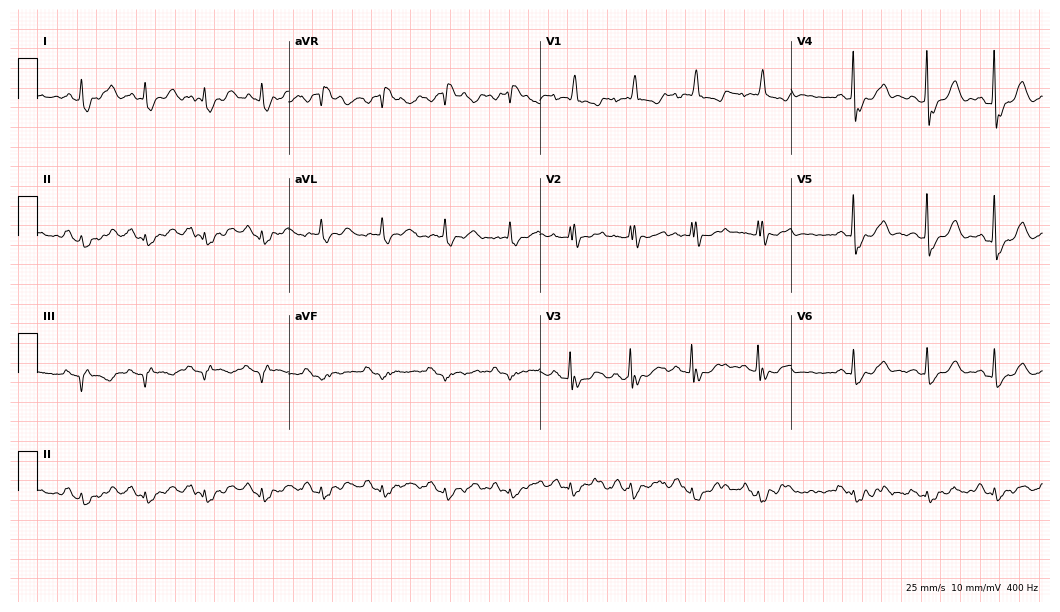
Standard 12-lead ECG recorded from a woman, 73 years old (10.2-second recording at 400 Hz). None of these six findings is recorded: first-degree AV block, right bundle branch block (RBBB), left bundle branch block (LBBB), sinus bradycardia, atrial fibrillation (AF), sinus tachycardia. Findings outside these six are not listed.